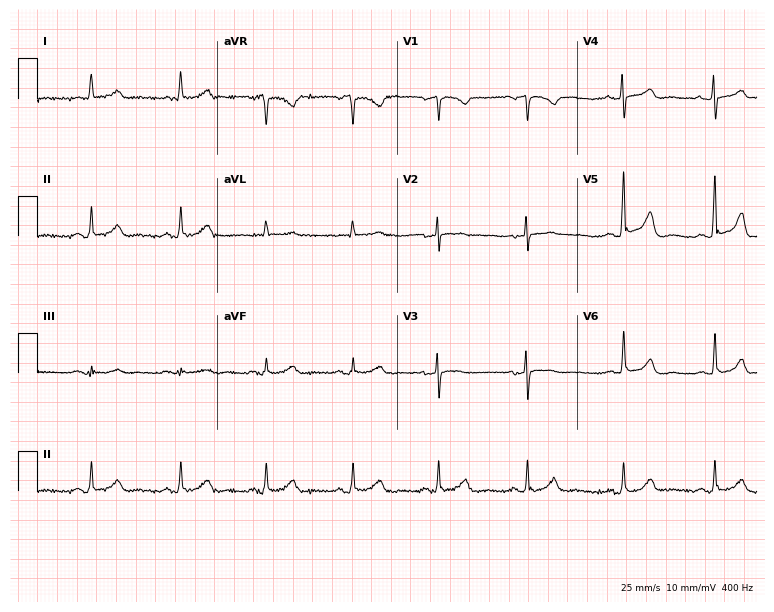
ECG (7.3-second recording at 400 Hz) — a 75-year-old female. Screened for six findings — first-degree AV block, right bundle branch block, left bundle branch block, sinus bradycardia, atrial fibrillation, sinus tachycardia — none is recorded. Findings outside these six are not listed.